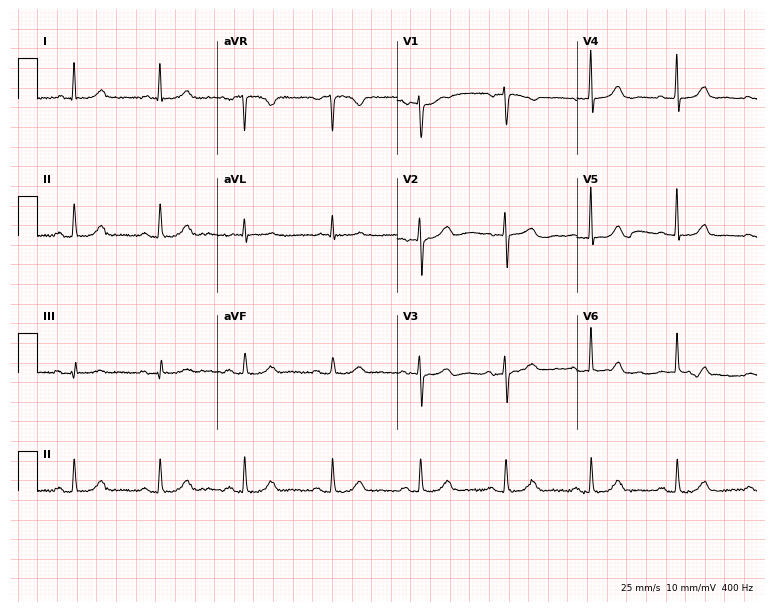
Electrocardiogram (7.3-second recording at 400 Hz), a female, 77 years old. Of the six screened findings (first-degree AV block, right bundle branch block, left bundle branch block, sinus bradycardia, atrial fibrillation, sinus tachycardia), none is recorded.